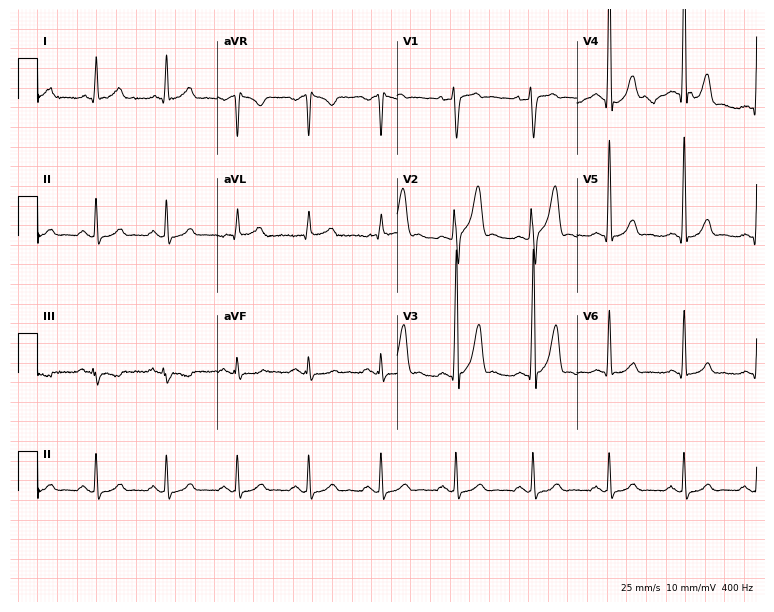
12-lead ECG from a male, 47 years old. Labelled as a normal ECG.